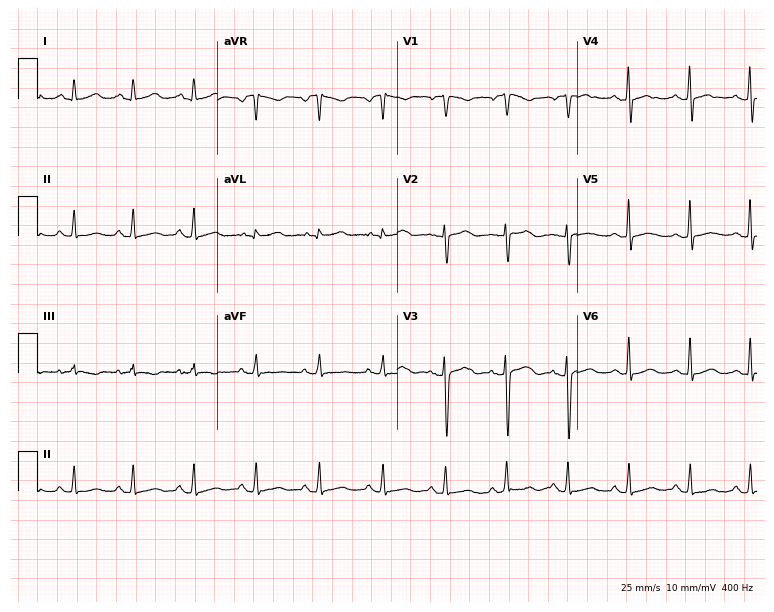
Resting 12-lead electrocardiogram. Patient: a woman, 26 years old. Read as a normal ECG.